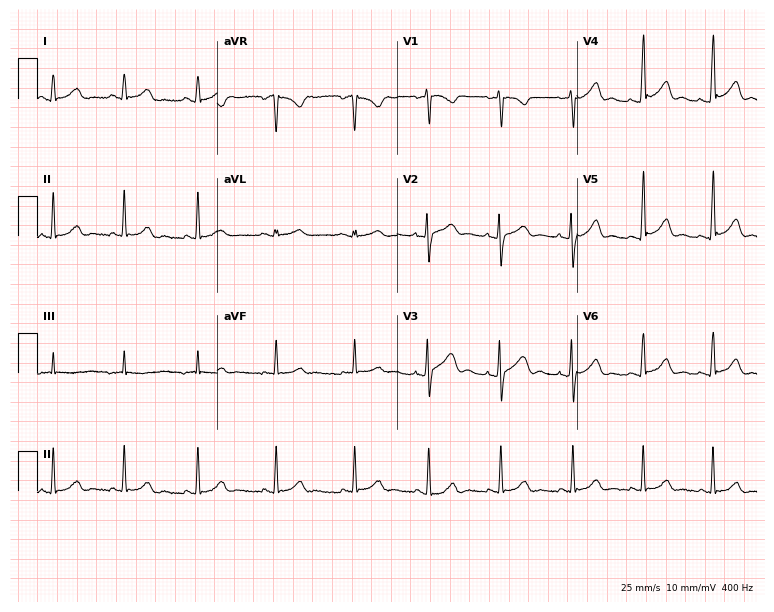
Standard 12-lead ECG recorded from a 21-year-old female patient (7.3-second recording at 400 Hz). None of these six findings is recorded: first-degree AV block, right bundle branch block (RBBB), left bundle branch block (LBBB), sinus bradycardia, atrial fibrillation (AF), sinus tachycardia. Findings outside these six are not listed.